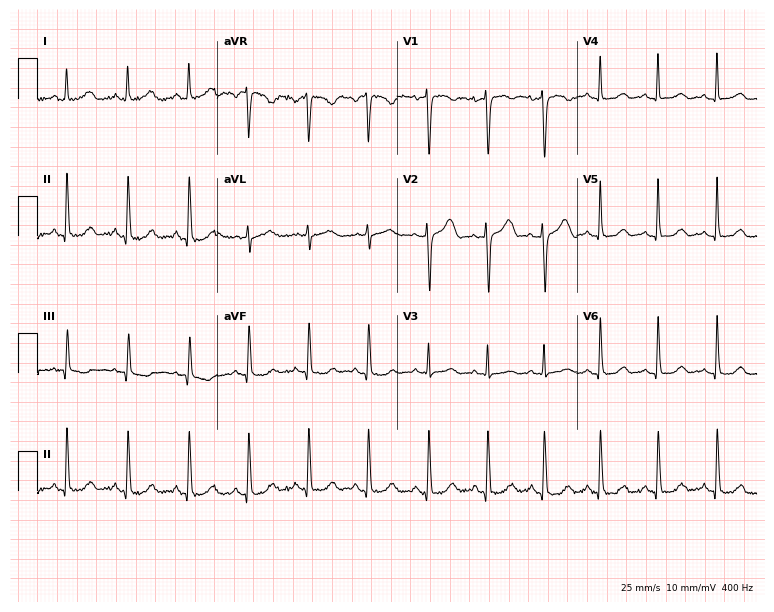
Standard 12-lead ECG recorded from a woman, 39 years old. Read as a normal ECG.